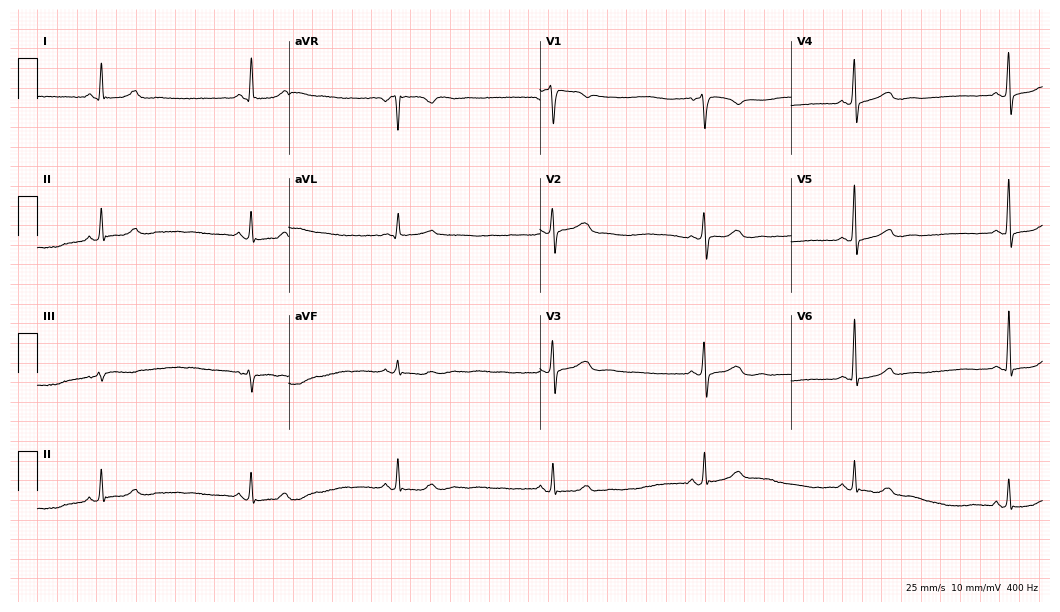
Electrocardiogram, a female patient, 50 years old. Interpretation includes sinus bradycardia (a sinus rate of 50 beats per minute or less).